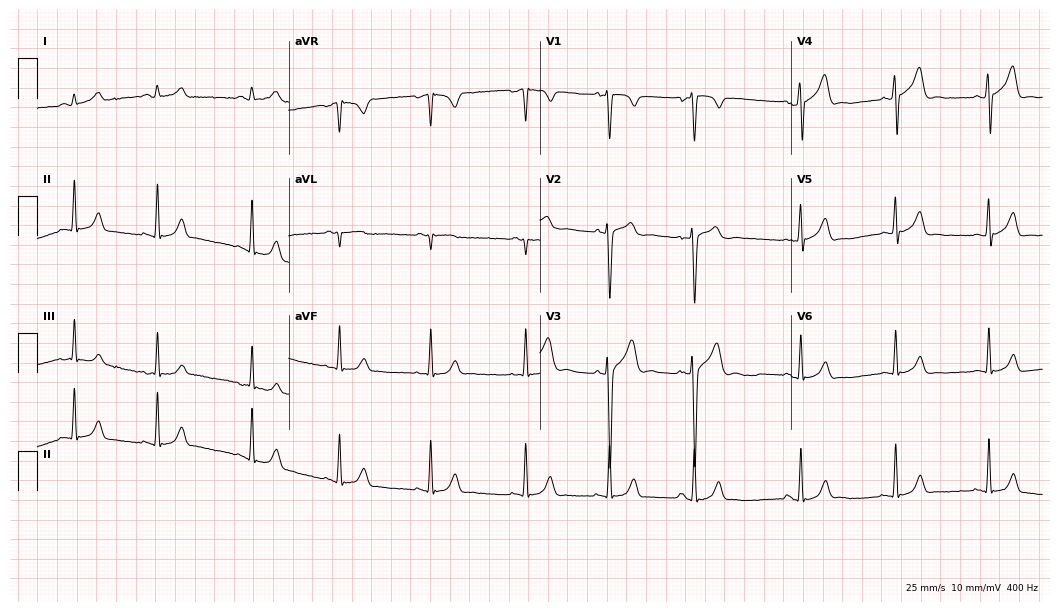
Electrocardiogram (10.2-second recording at 400 Hz), a 22-year-old male patient. Overall reading on record: normal ECG.